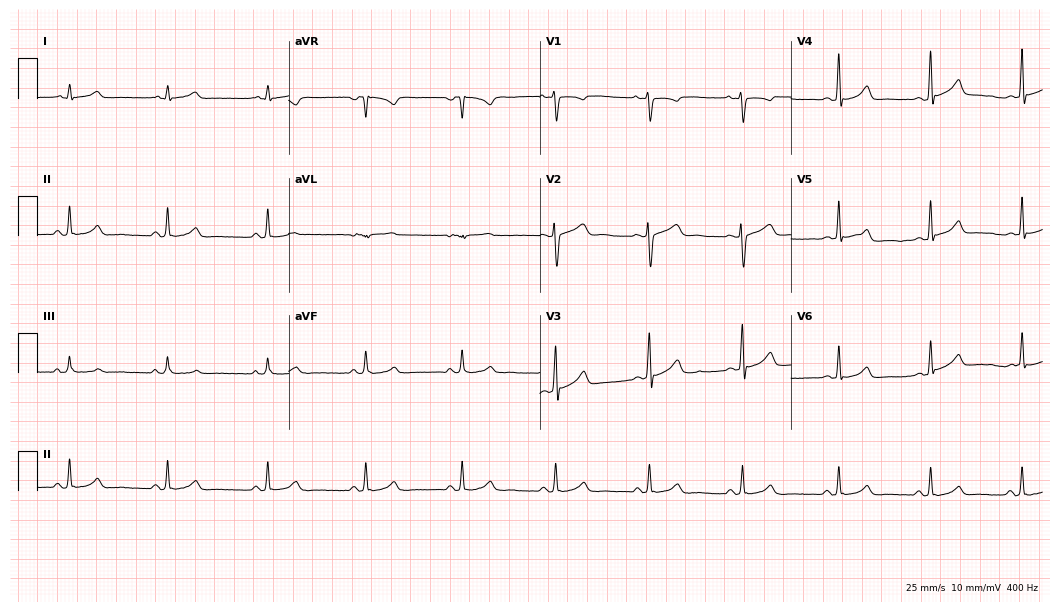
Standard 12-lead ECG recorded from a woman, 28 years old (10.2-second recording at 400 Hz). Read as a normal ECG.